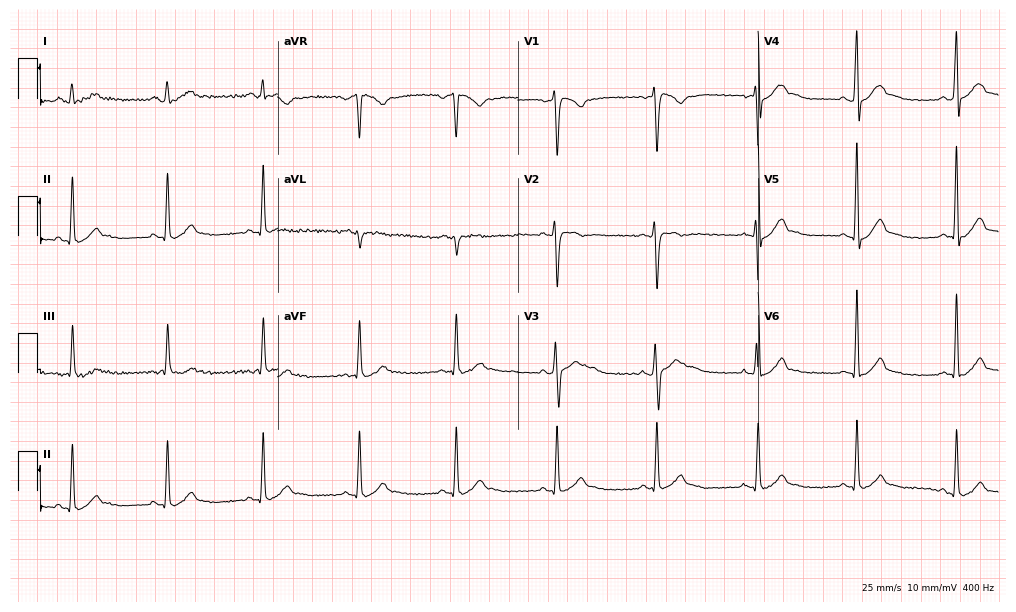
Standard 12-lead ECG recorded from a 40-year-old male patient (9.8-second recording at 400 Hz). Read as a normal ECG.